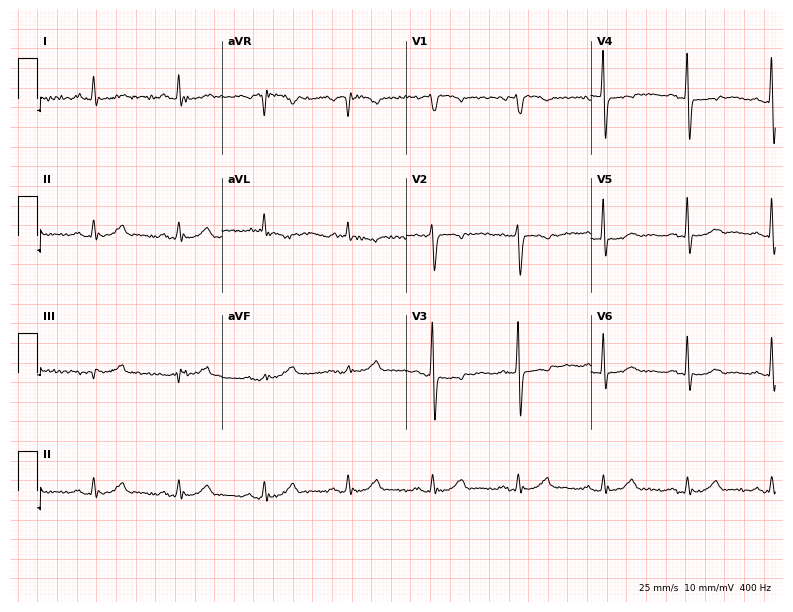
Standard 12-lead ECG recorded from a 69-year-old woman. None of these six findings is recorded: first-degree AV block, right bundle branch block (RBBB), left bundle branch block (LBBB), sinus bradycardia, atrial fibrillation (AF), sinus tachycardia. Findings outside these six are not listed.